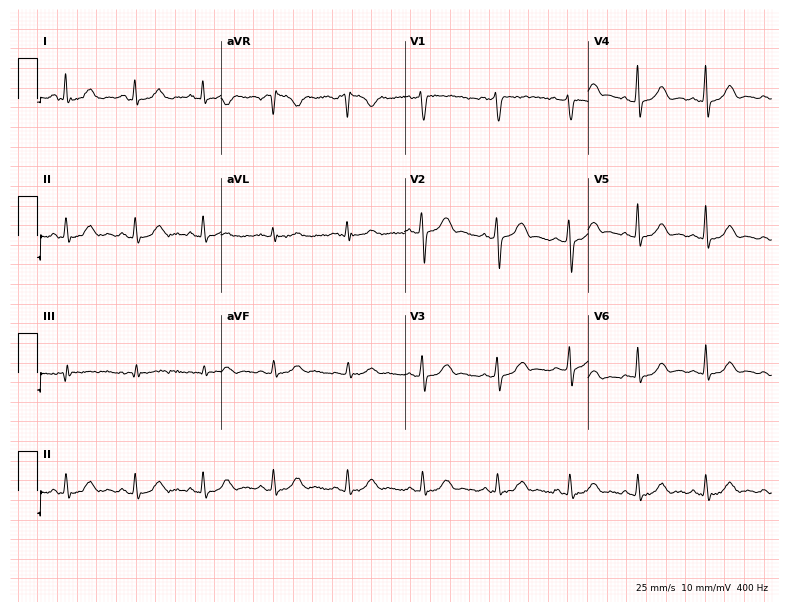
12-lead ECG from a 44-year-old female patient (7.5-second recording at 400 Hz). No first-degree AV block, right bundle branch block, left bundle branch block, sinus bradycardia, atrial fibrillation or sinus tachycardia recorded for this tracing.